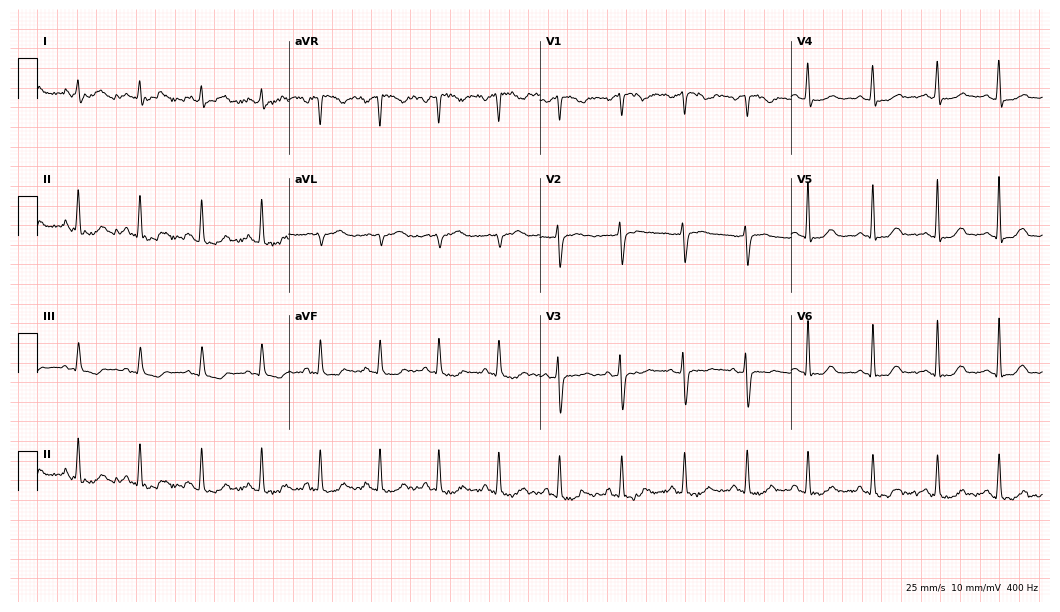
Electrocardiogram (10.2-second recording at 400 Hz), a female patient, 24 years old. Overall reading on record: normal ECG.